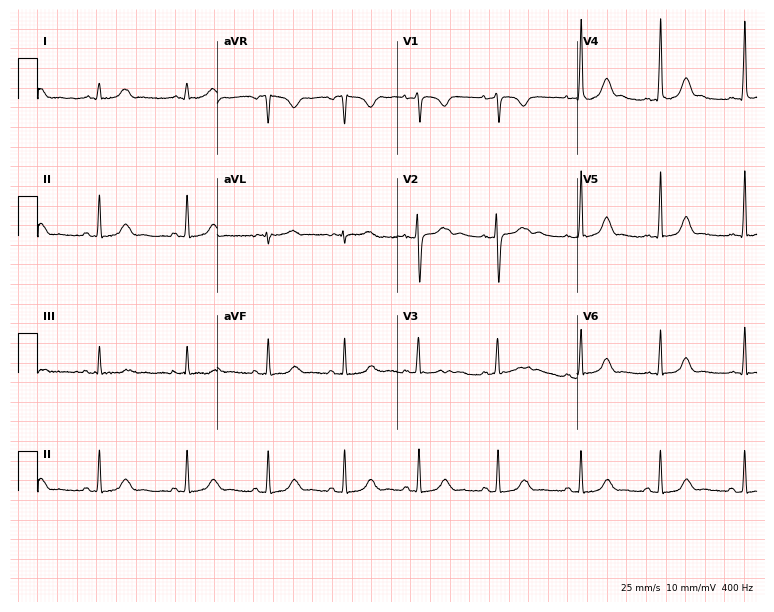
Resting 12-lead electrocardiogram. Patient: a 31-year-old female. None of these six findings is recorded: first-degree AV block, right bundle branch block, left bundle branch block, sinus bradycardia, atrial fibrillation, sinus tachycardia. Findings outside these six are not listed.